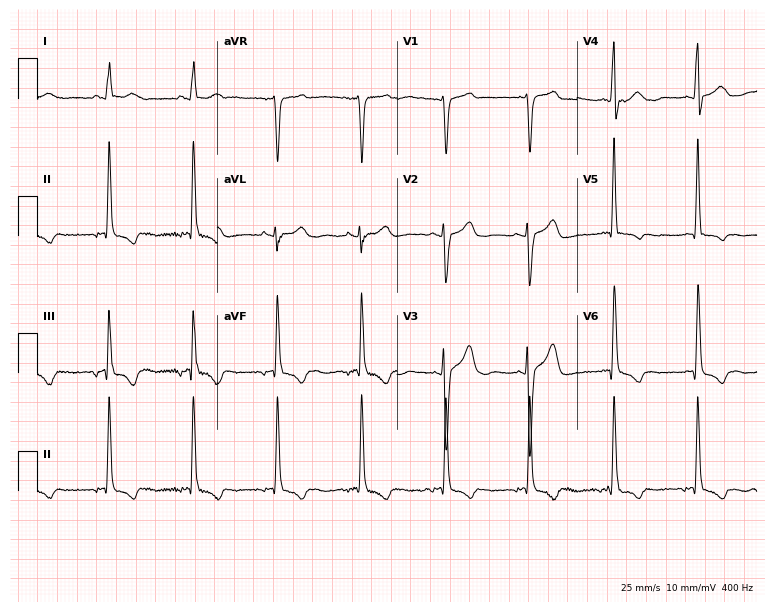
ECG — a man, 56 years old. Screened for six findings — first-degree AV block, right bundle branch block (RBBB), left bundle branch block (LBBB), sinus bradycardia, atrial fibrillation (AF), sinus tachycardia — none is recorded.